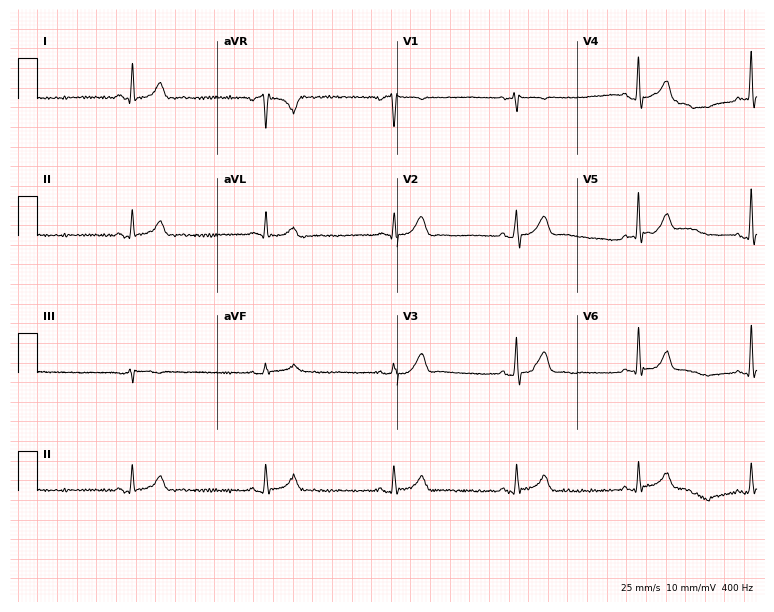
12-lead ECG from a man, 44 years old. Findings include sinus bradycardia (a sinus rate of 50 beats per minute or less).